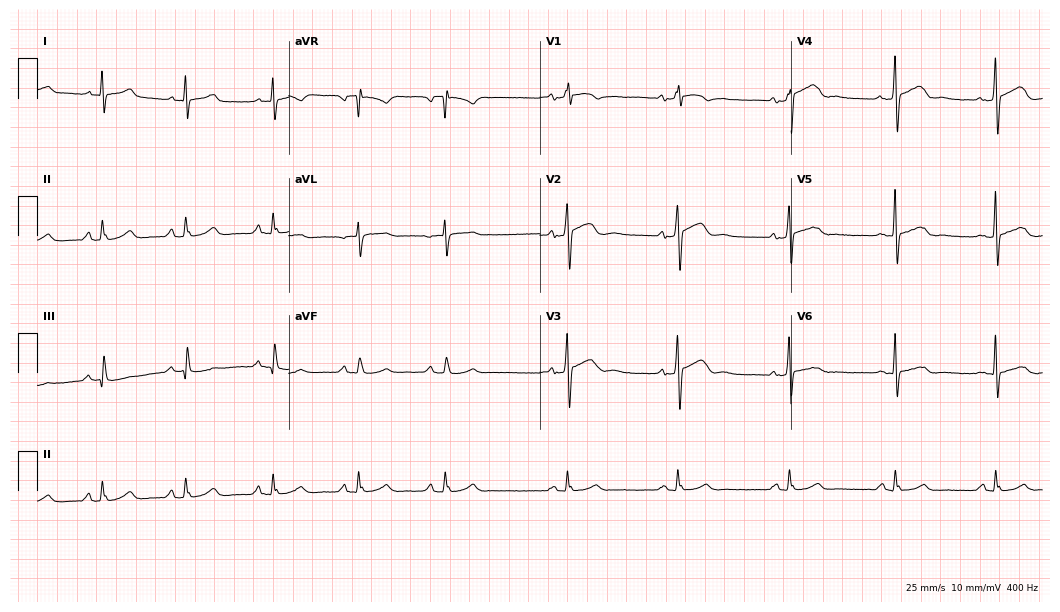
Resting 12-lead electrocardiogram. Patient: a male, 21 years old. Read as a normal ECG.